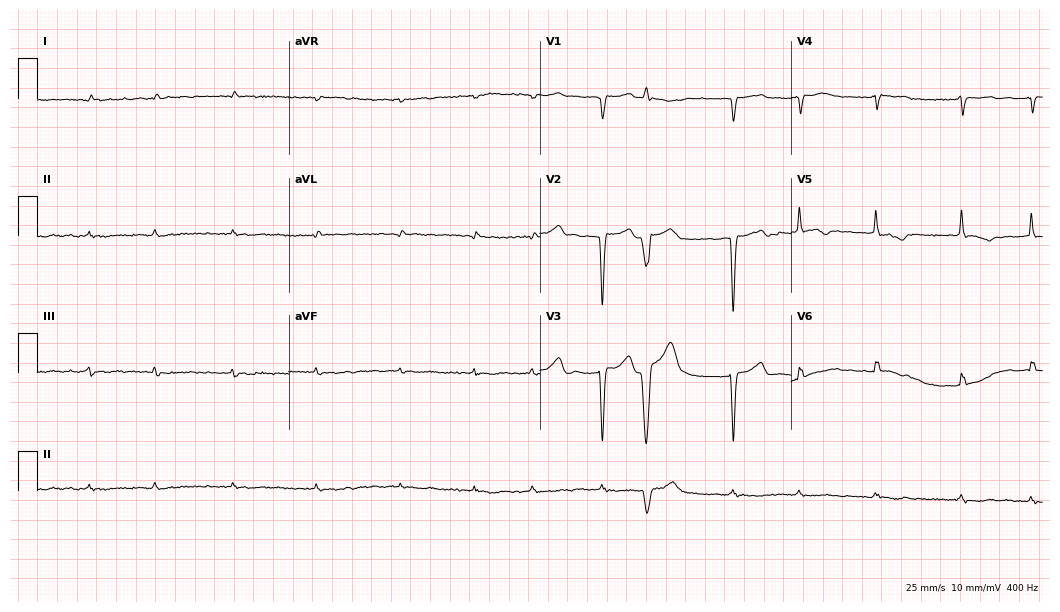
Standard 12-lead ECG recorded from a 60-year-old female (10.2-second recording at 400 Hz). None of these six findings is recorded: first-degree AV block, right bundle branch block, left bundle branch block, sinus bradycardia, atrial fibrillation, sinus tachycardia. Only these six findings were labelled.